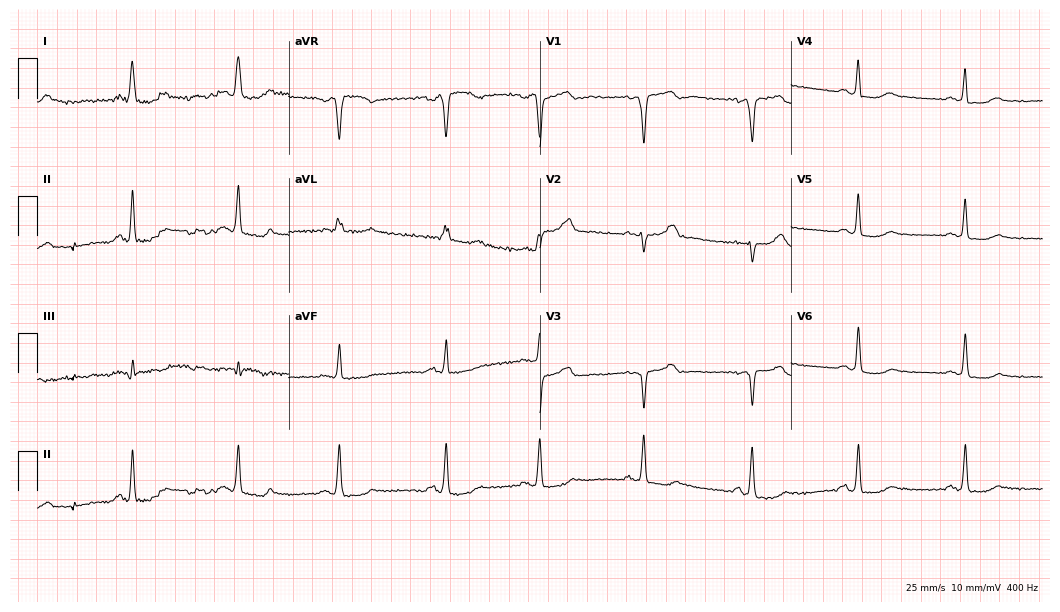
12-lead ECG from a female patient, 63 years old (10.2-second recording at 400 Hz). No first-degree AV block, right bundle branch block, left bundle branch block, sinus bradycardia, atrial fibrillation or sinus tachycardia recorded for this tracing.